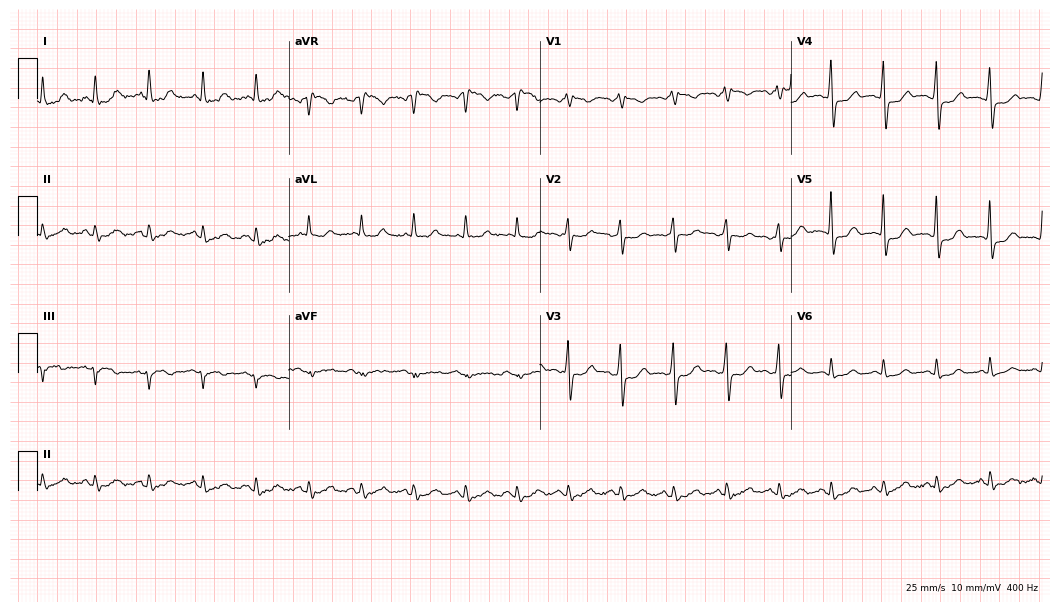
Standard 12-lead ECG recorded from a 50-year-old woman (10.2-second recording at 400 Hz). The tracing shows sinus tachycardia (a sinus rate of 100 beats per minute or more).